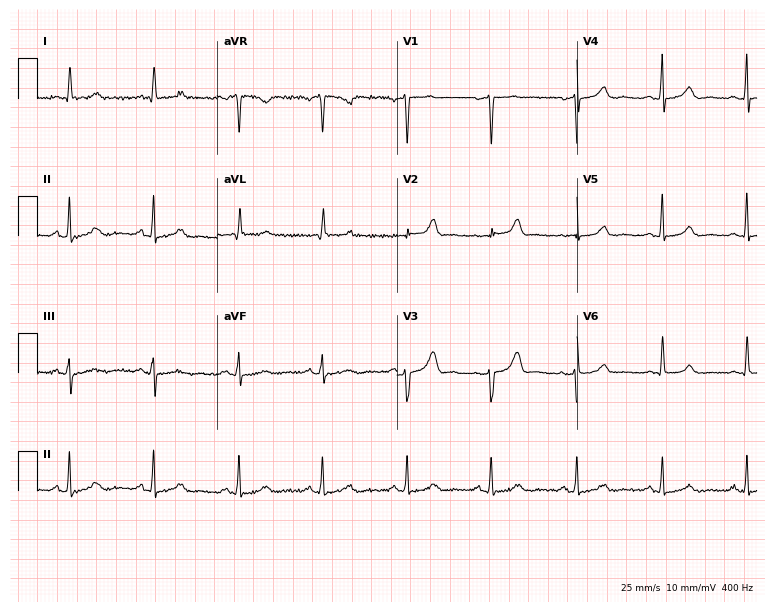
ECG (7.3-second recording at 400 Hz) — a 43-year-old woman. Screened for six findings — first-degree AV block, right bundle branch block (RBBB), left bundle branch block (LBBB), sinus bradycardia, atrial fibrillation (AF), sinus tachycardia — none is recorded.